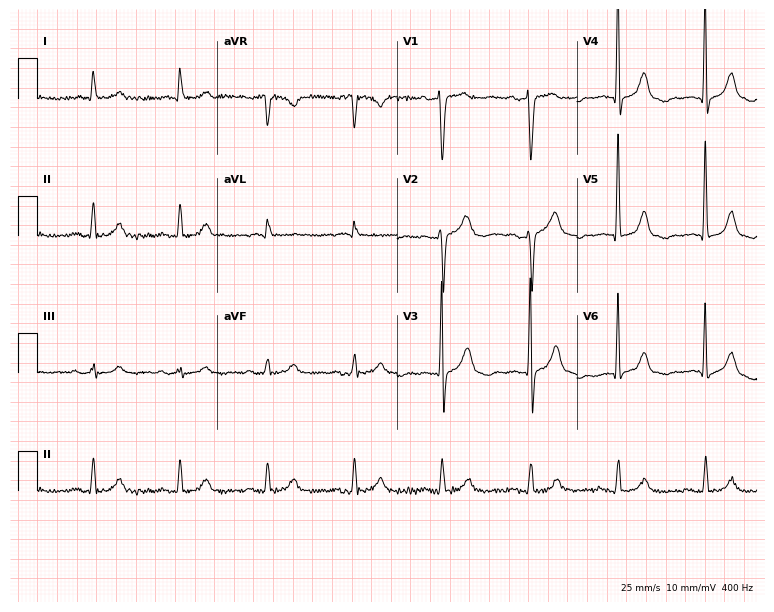
Electrocardiogram, a man, 63 years old. Of the six screened findings (first-degree AV block, right bundle branch block, left bundle branch block, sinus bradycardia, atrial fibrillation, sinus tachycardia), none is recorded. Only these six findings were labelled.